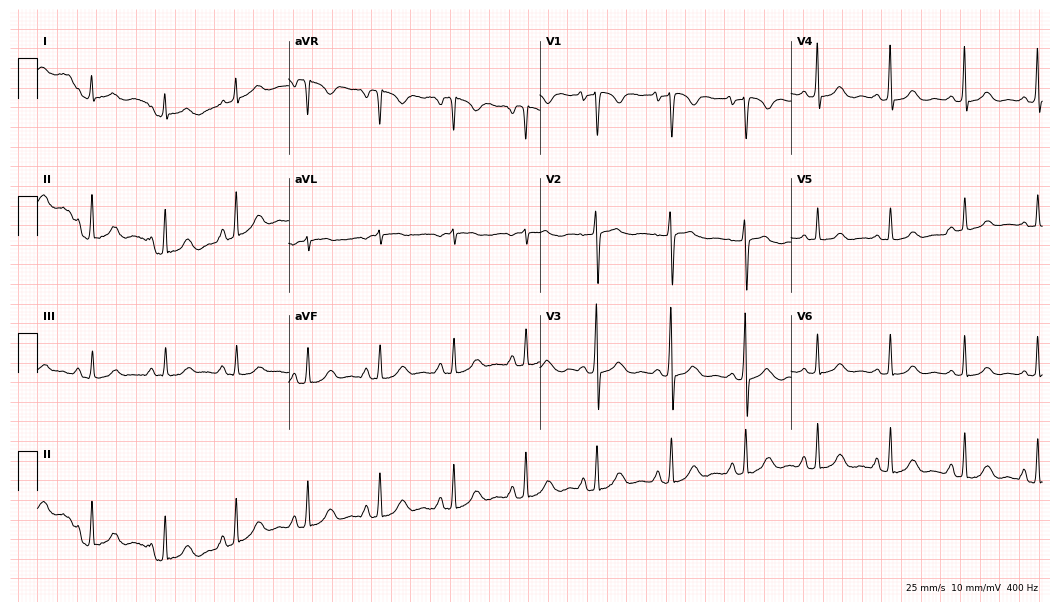
ECG — a male, 50 years old. Screened for six findings — first-degree AV block, right bundle branch block (RBBB), left bundle branch block (LBBB), sinus bradycardia, atrial fibrillation (AF), sinus tachycardia — none is recorded.